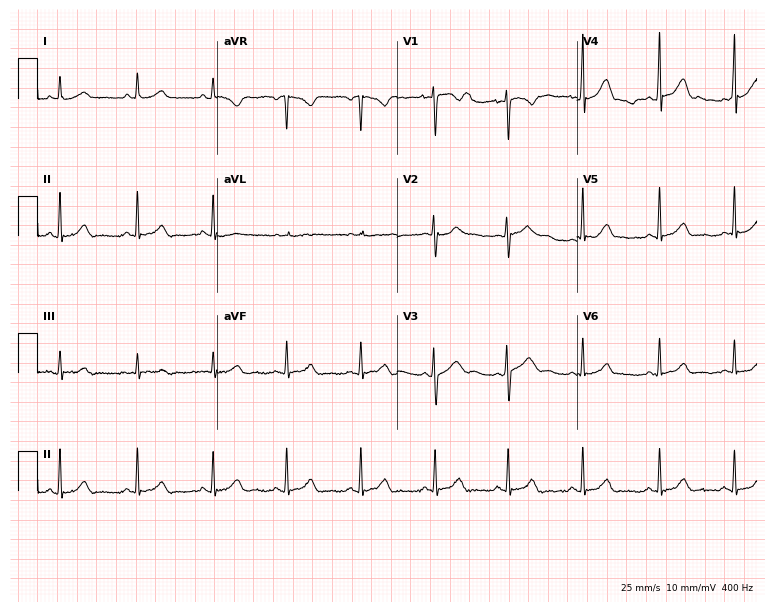
Resting 12-lead electrocardiogram. Patient: a female, 24 years old. None of these six findings is recorded: first-degree AV block, right bundle branch block, left bundle branch block, sinus bradycardia, atrial fibrillation, sinus tachycardia.